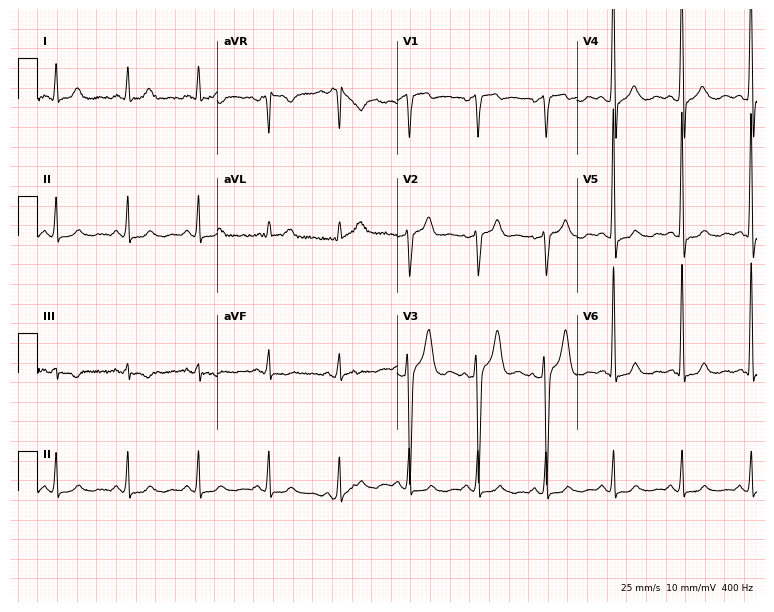
Standard 12-lead ECG recorded from a 61-year-old male patient (7.3-second recording at 400 Hz). None of these six findings is recorded: first-degree AV block, right bundle branch block, left bundle branch block, sinus bradycardia, atrial fibrillation, sinus tachycardia.